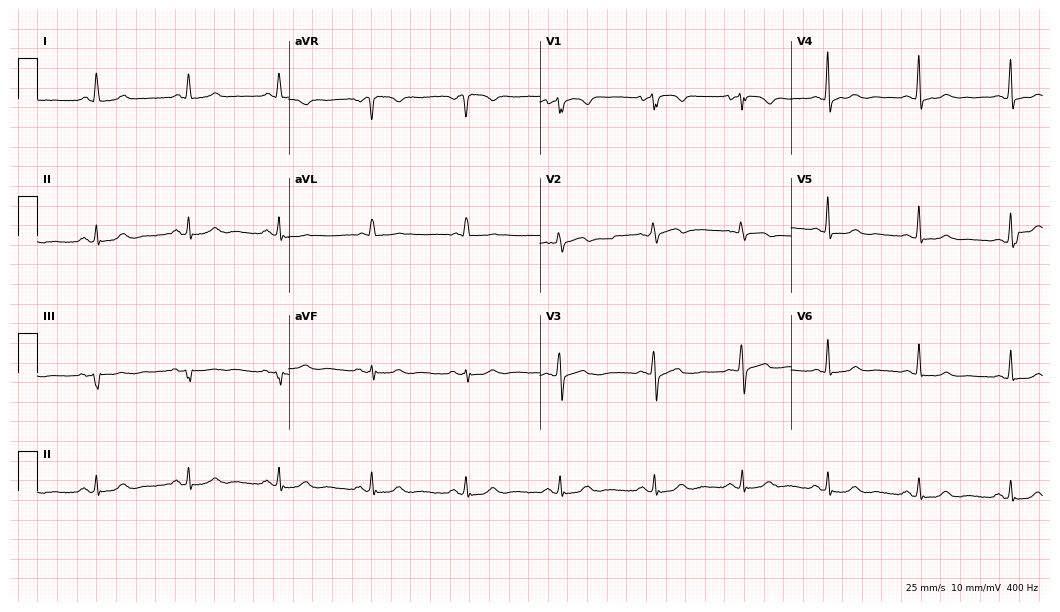
Resting 12-lead electrocardiogram (10.2-second recording at 400 Hz). Patient: a female, 58 years old. Read as a normal ECG.